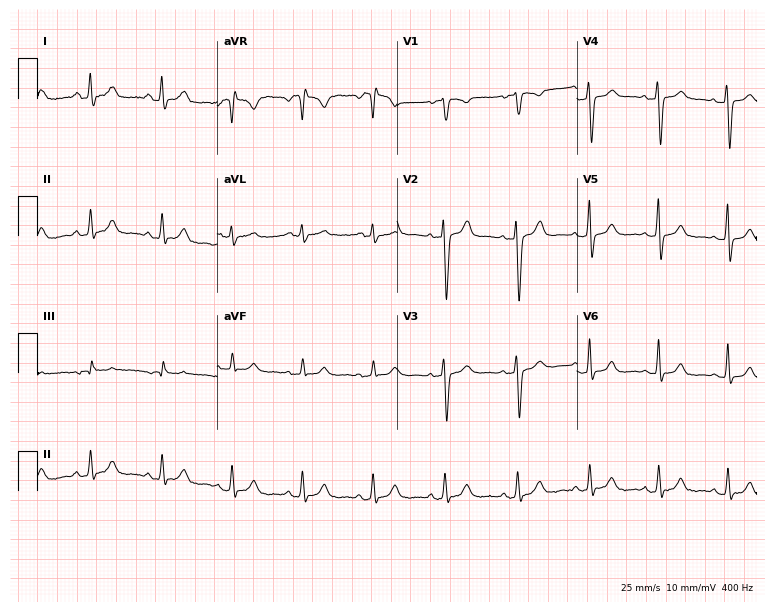
12-lead ECG from a woman, 26 years old (7.3-second recording at 400 Hz). No first-degree AV block, right bundle branch block, left bundle branch block, sinus bradycardia, atrial fibrillation or sinus tachycardia recorded for this tracing. Only these six findings were labelled.